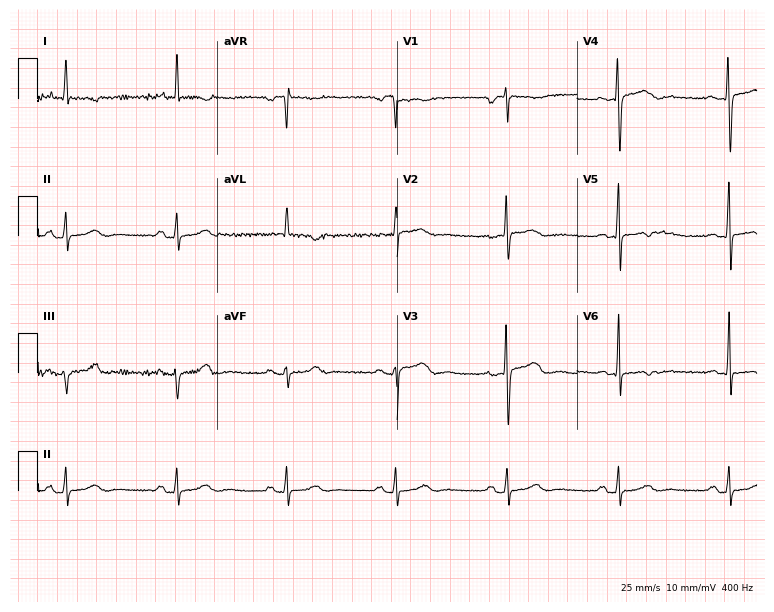
12-lead ECG from a female, 73 years old. Screened for six findings — first-degree AV block, right bundle branch block, left bundle branch block, sinus bradycardia, atrial fibrillation, sinus tachycardia — none is recorded. Only these six findings were labelled.